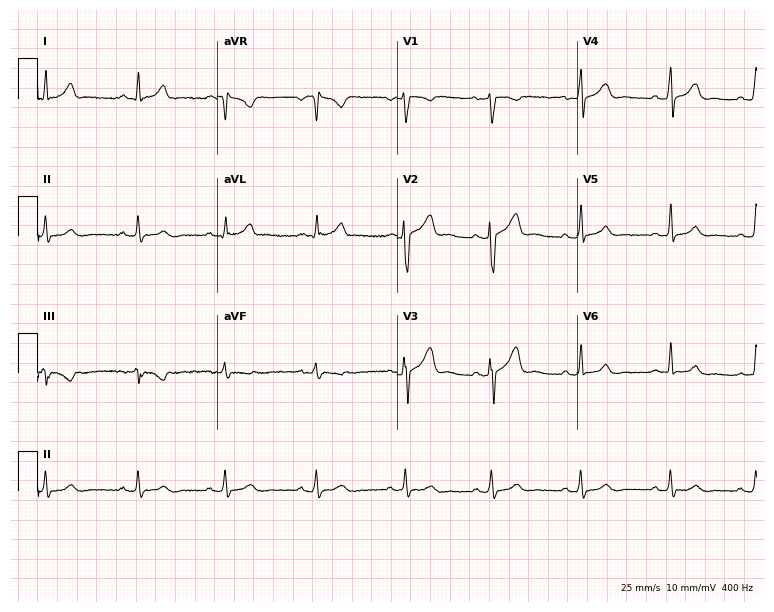
ECG (7.3-second recording at 400 Hz) — a 30-year-old woman. Screened for six findings — first-degree AV block, right bundle branch block (RBBB), left bundle branch block (LBBB), sinus bradycardia, atrial fibrillation (AF), sinus tachycardia — none is recorded.